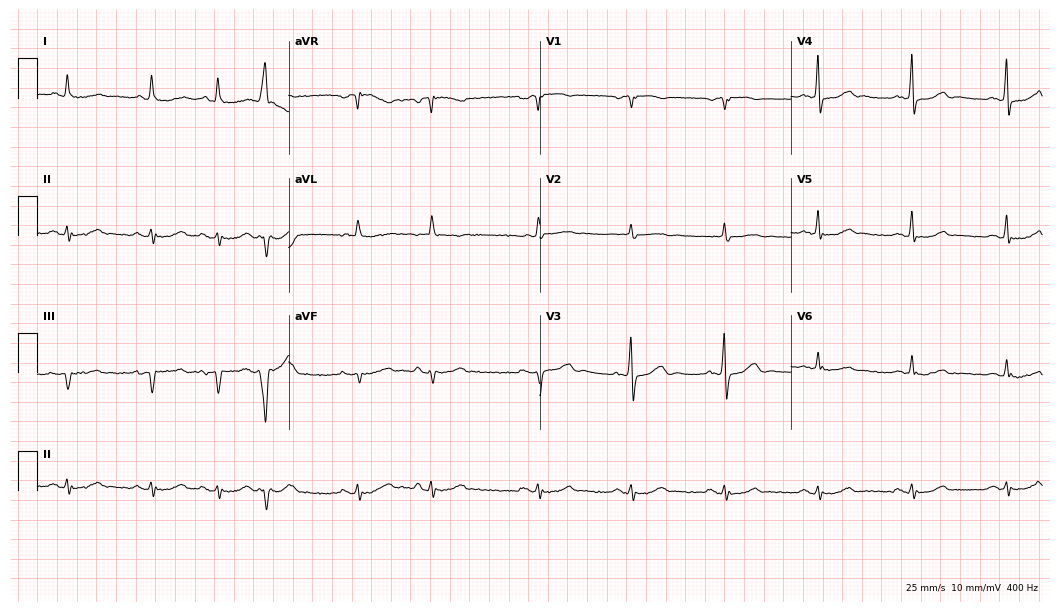
12-lead ECG from a male, 78 years old. No first-degree AV block, right bundle branch block (RBBB), left bundle branch block (LBBB), sinus bradycardia, atrial fibrillation (AF) or sinus tachycardia recorded for this tracing. Other findings, if any, are not listed.